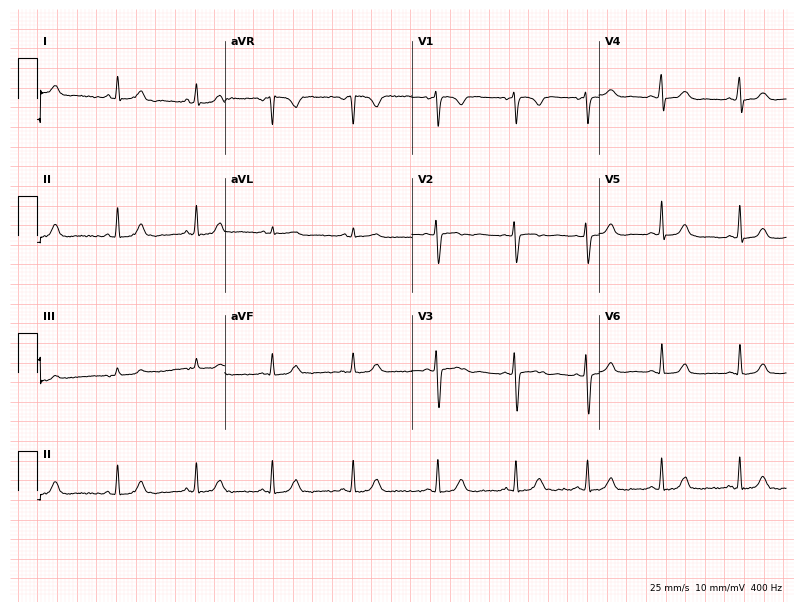
12-lead ECG (7.6-second recording at 400 Hz) from a female patient, 28 years old. Screened for six findings — first-degree AV block, right bundle branch block, left bundle branch block, sinus bradycardia, atrial fibrillation, sinus tachycardia — none is recorded.